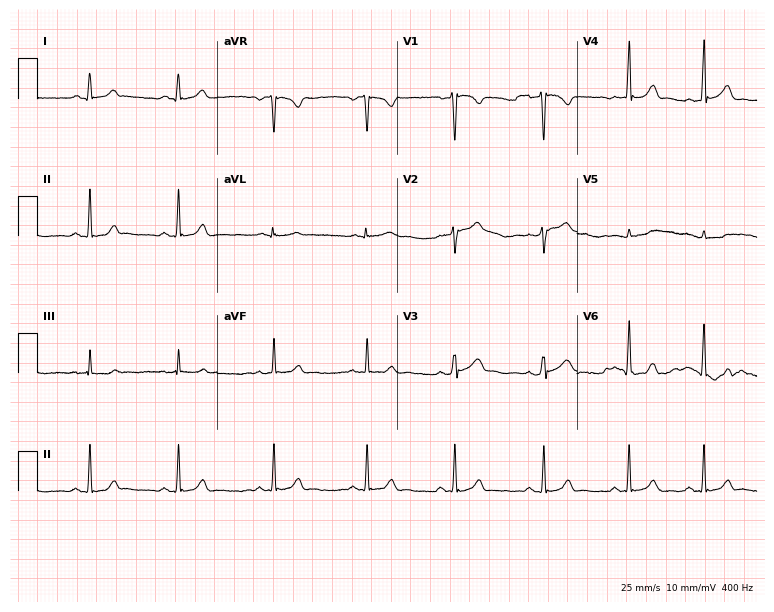
ECG (7.3-second recording at 400 Hz) — a 19-year-old female patient. Labelled as a normal ECG.